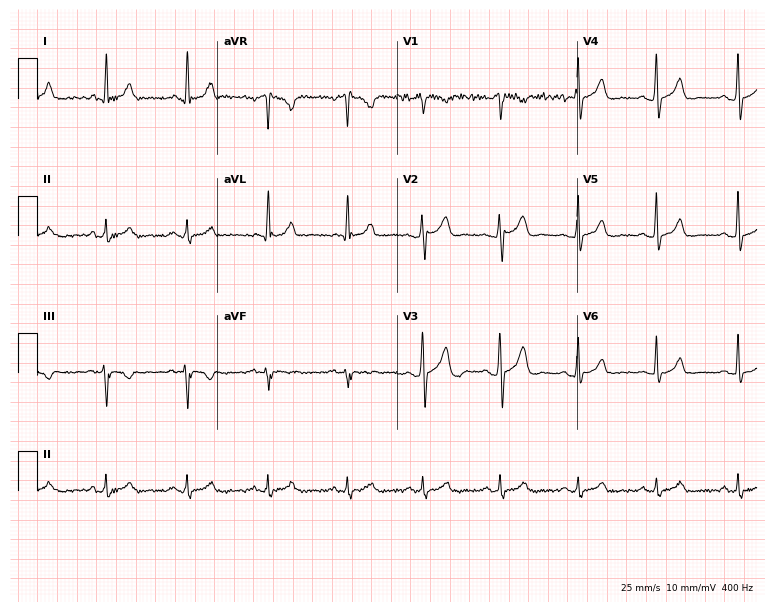
12-lead ECG (7.3-second recording at 400 Hz) from a 36-year-old male patient. Labelled as a normal ECG.